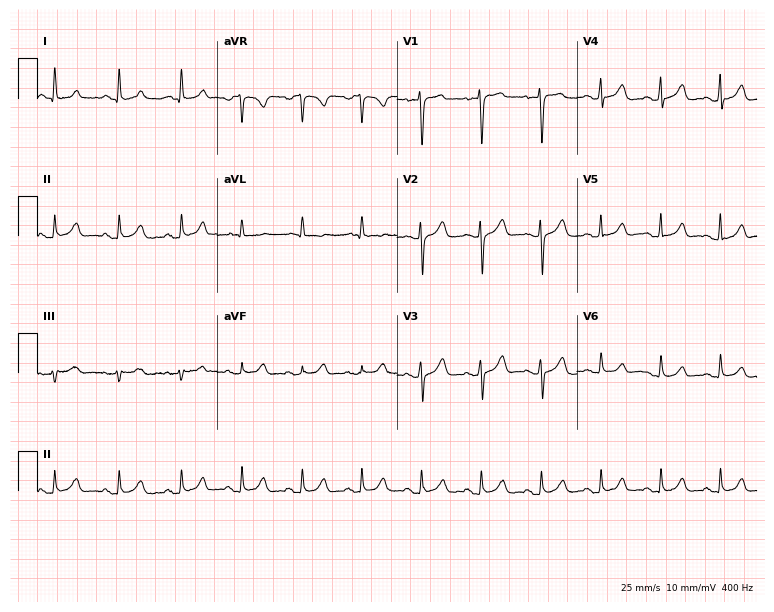
Electrocardiogram, a male patient, 33 years old. Overall reading on record: normal ECG.